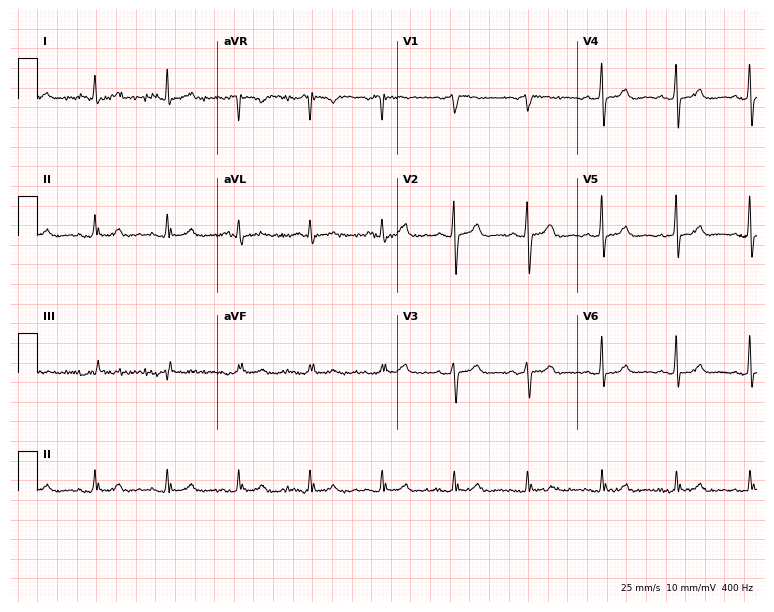
Electrocardiogram, a woman, 77 years old. Overall reading on record: normal ECG.